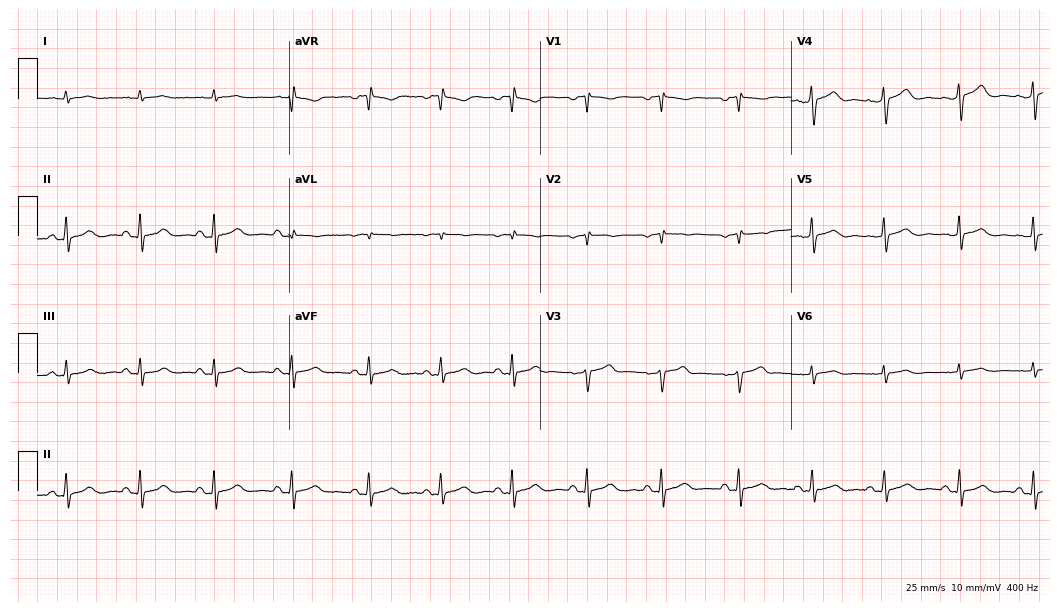
ECG — a 67-year-old male patient. Screened for six findings — first-degree AV block, right bundle branch block, left bundle branch block, sinus bradycardia, atrial fibrillation, sinus tachycardia — none is recorded.